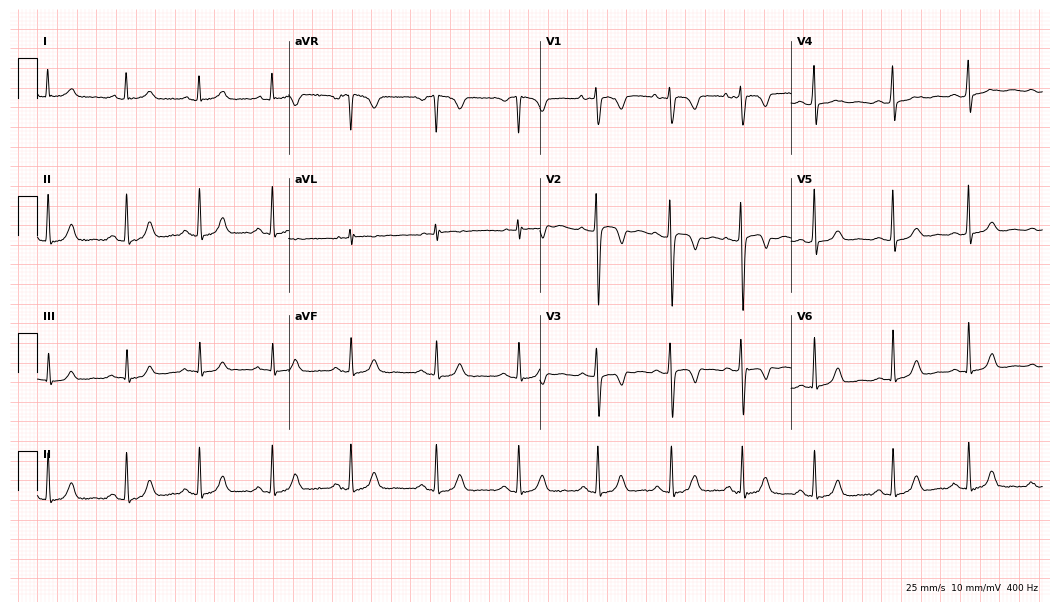
Standard 12-lead ECG recorded from a 29-year-old woman. None of these six findings is recorded: first-degree AV block, right bundle branch block, left bundle branch block, sinus bradycardia, atrial fibrillation, sinus tachycardia. Only these six findings were labelled.